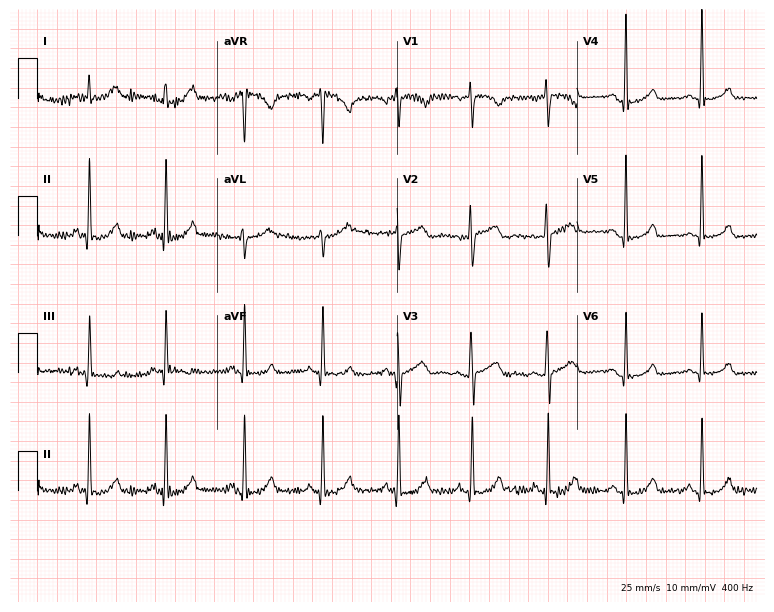
12-lead ECG from a female, 40 years old (7.3-second recording at 400 Hz). Recorded interpretation: within normal limits.